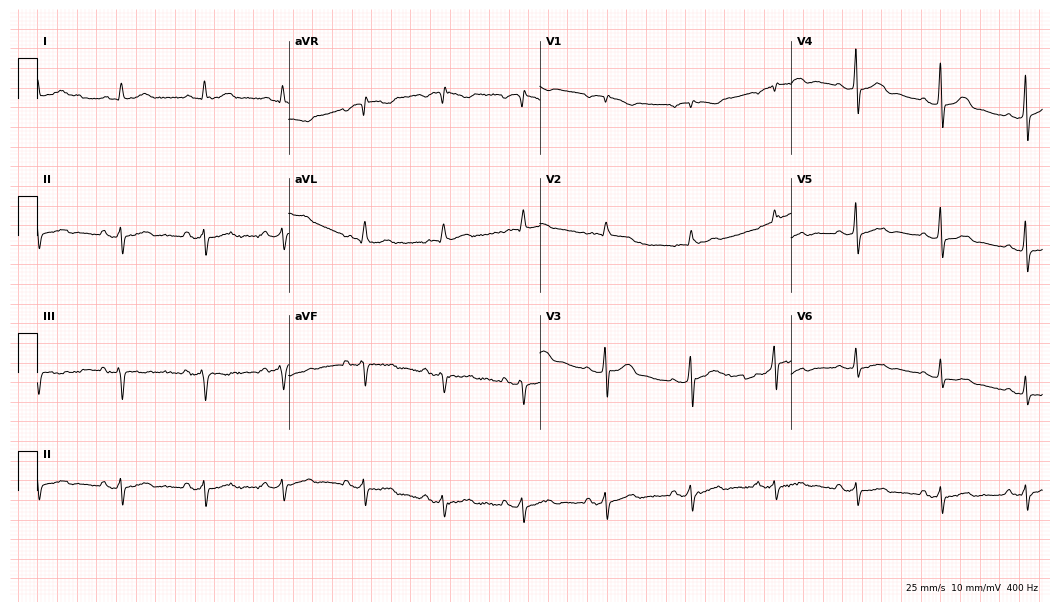
12-lead ECG (10.2-second recording at 400 Hz) from a male, 68 years old. Screened for six findings — first-degree AV block, right bundle branch block, left bundle branch block, sinus bradycardia, atrial fibrillation, sinus tachycardia — none is recorded. Other findings, if any, are not listed.